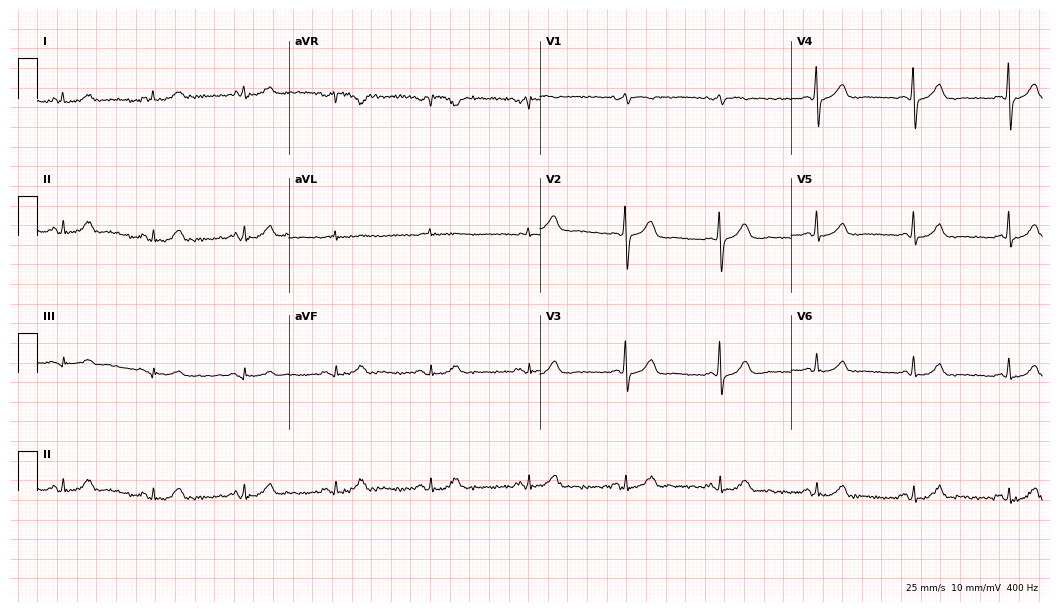
Electrocardiogram, a 66-year-old female patient. Overall reading on record: normal ECG.